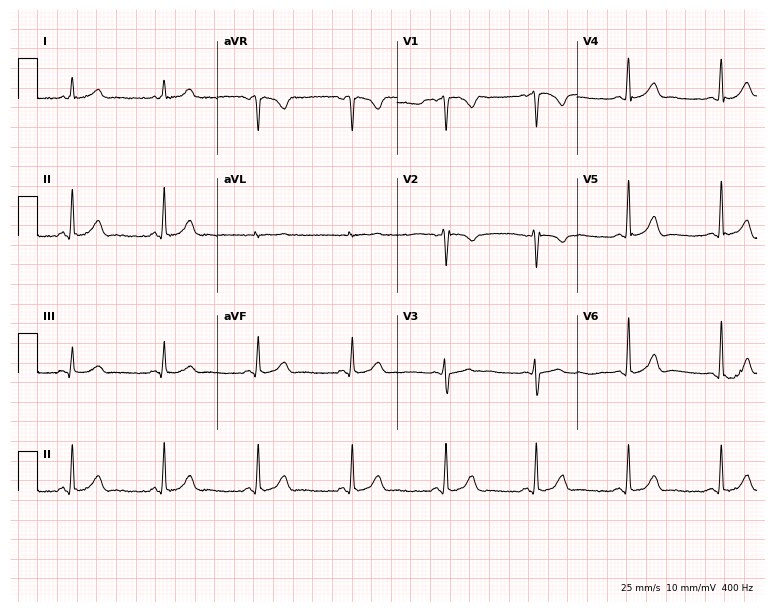
Standard 12-lead ECG recorded from a 23-year-old female patient. Read as a normal ECG.